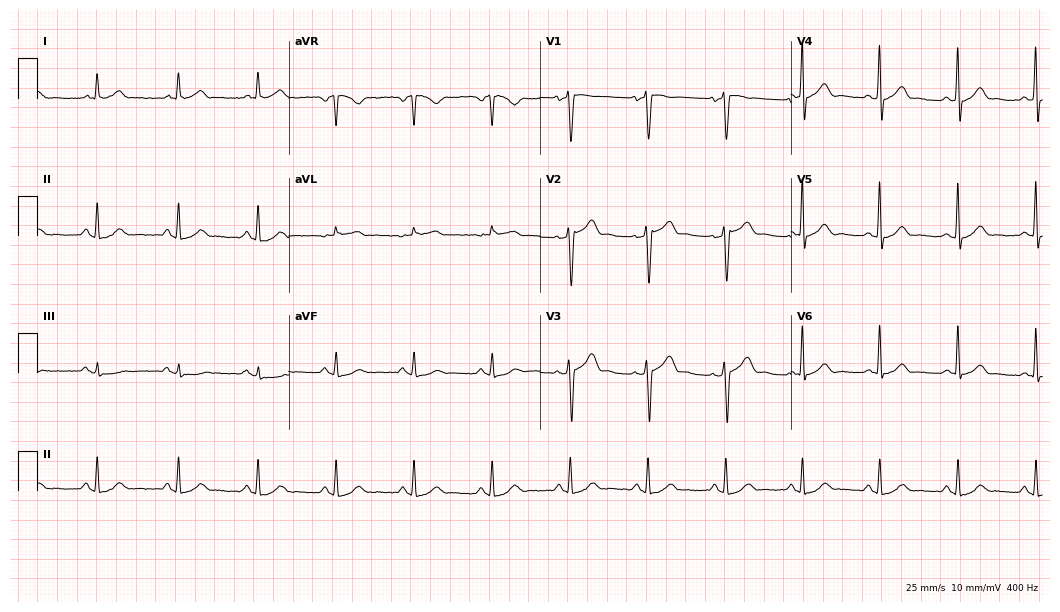
Electrocardiogram, a male, 67 years old. Overall reading on record: normal ECG.